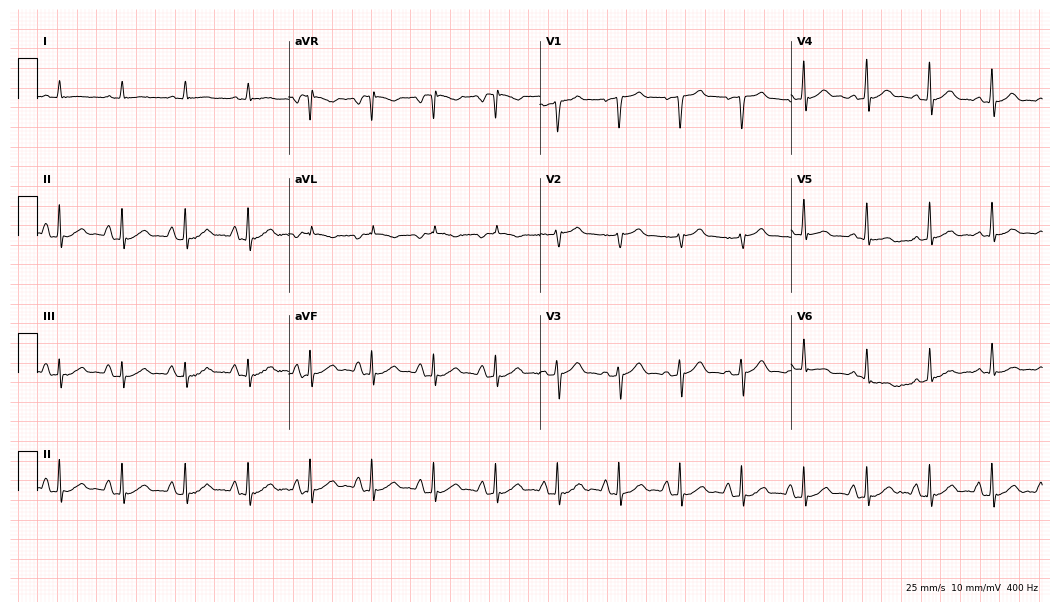
ECG (10.2-second recording at 400 Hz) — a 62-year-old male. Screened for six findings — first-degree AV block, right bundle branch block, left bundle branch block, sinus bradycardia, atrial fibrillation, sinus tachycardia — none is recorded.